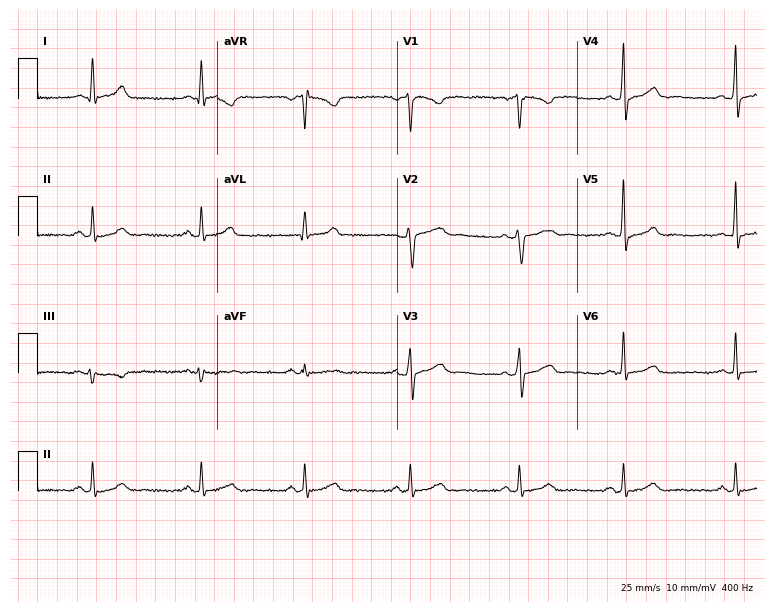
Electrocardiogram (7.3-second recording at 400 Hz), a 40-year-old man. Overall reading on record: normal ECG.